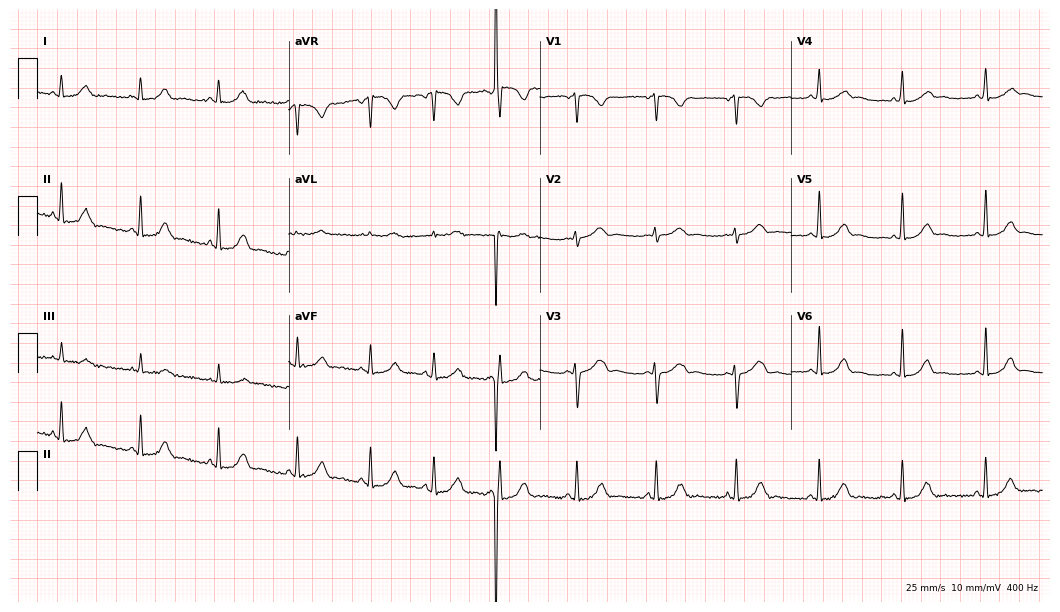
Electrocardiogram, a female, 41 years old. Overall reading on record: normal ECG.